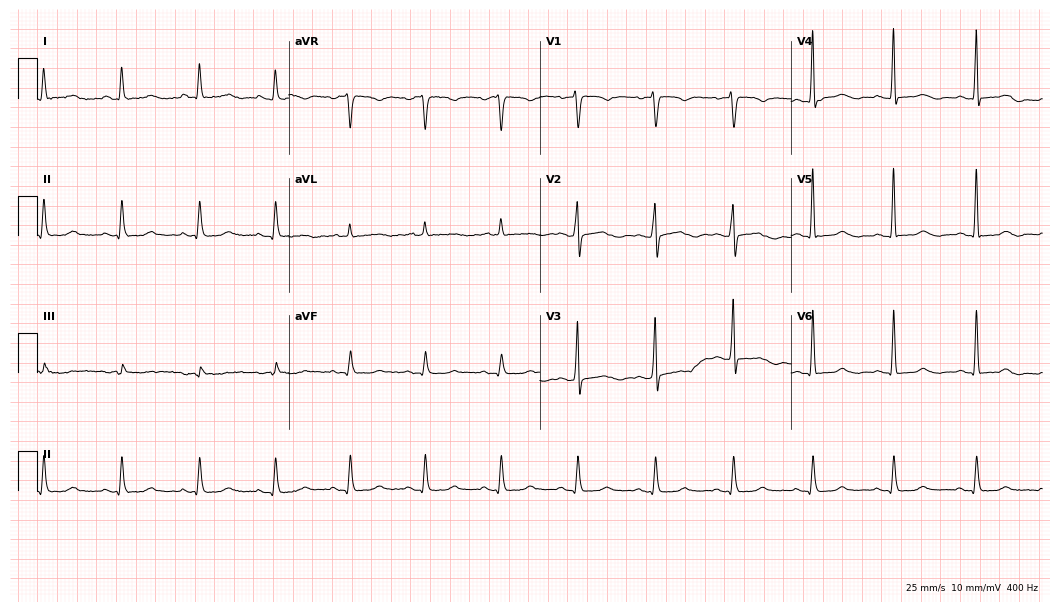
ECG — a female, 52 years old. Labelled as a normal ECG.